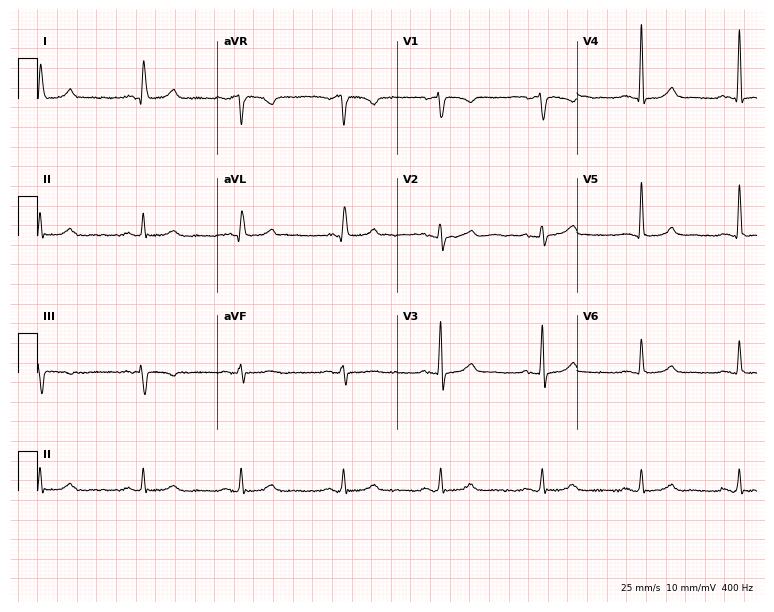
12-lead ECG (7.3-second recording at 400 Hz) from a 54-year-old female. Labelled as a normal ECG.